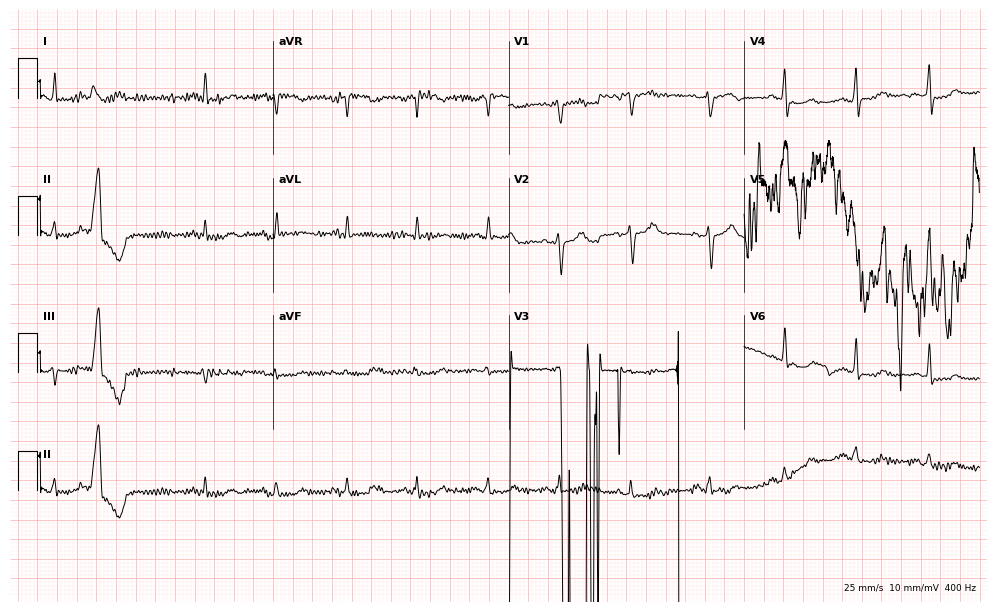
12-lead ECG from a woman, 58 years old (9.6-second recording at 400 Hz). No first-degree AV block, right bundle branch block (RBBB), left bundle branch block (LBBB), sinus bradycardia, atrial fibrillation (AF) or sinus tachycardia recorded for this tracing.